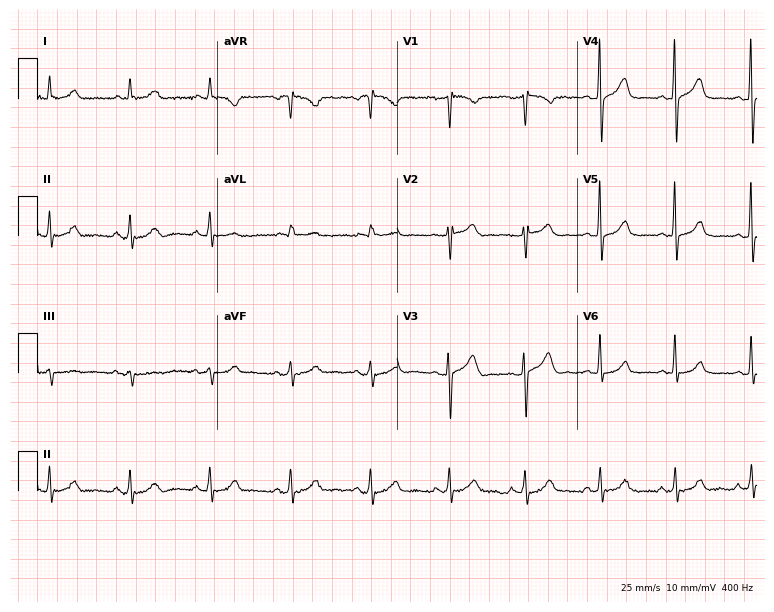
12-lead ECG from a female, 37 years old. Labelled as a normal ECG.